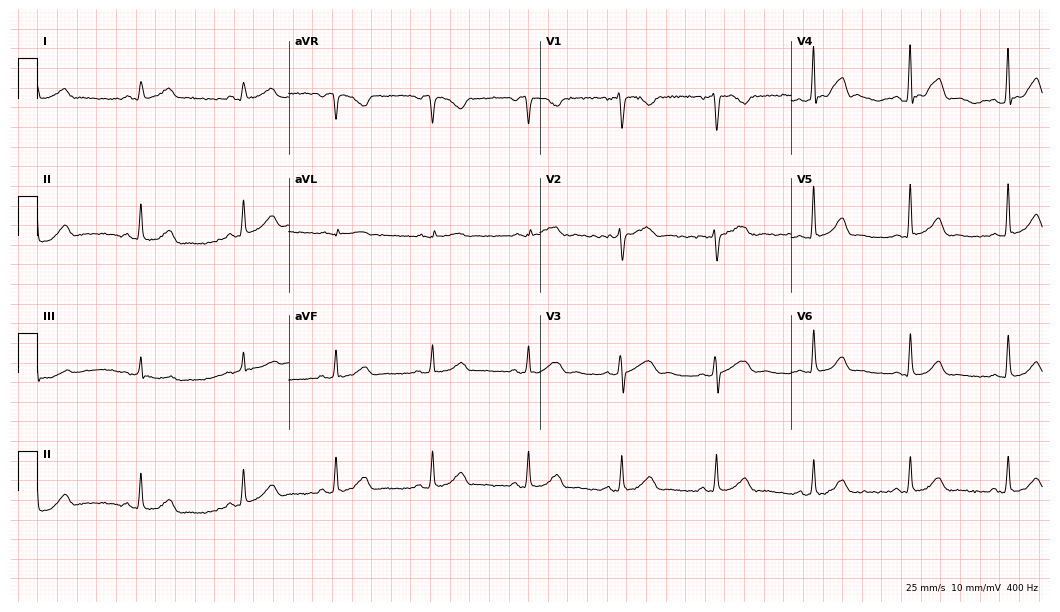
12-lead ECG from a woman, 40 years old (10.2-second recording at 400 Hz). Recorded interpretation: within normal limits.